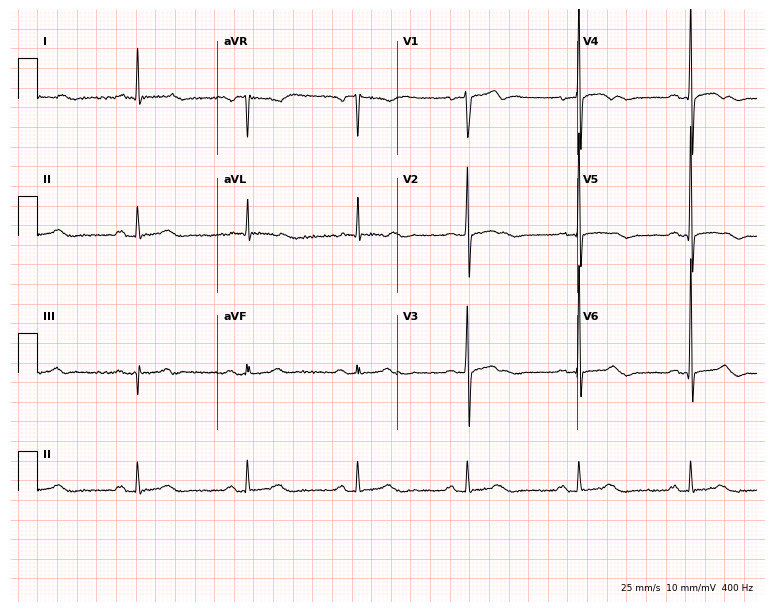
Resting 12-lead electrocardiogram (7.3-second recording at 400 Hz). Patient: a male, 63 years old. None of these six findings is recorded: first-degree AV block, right bundle branch block, left bundle branch block, sinus bradycardia, atrial fibrillation, sinus tachycardia.